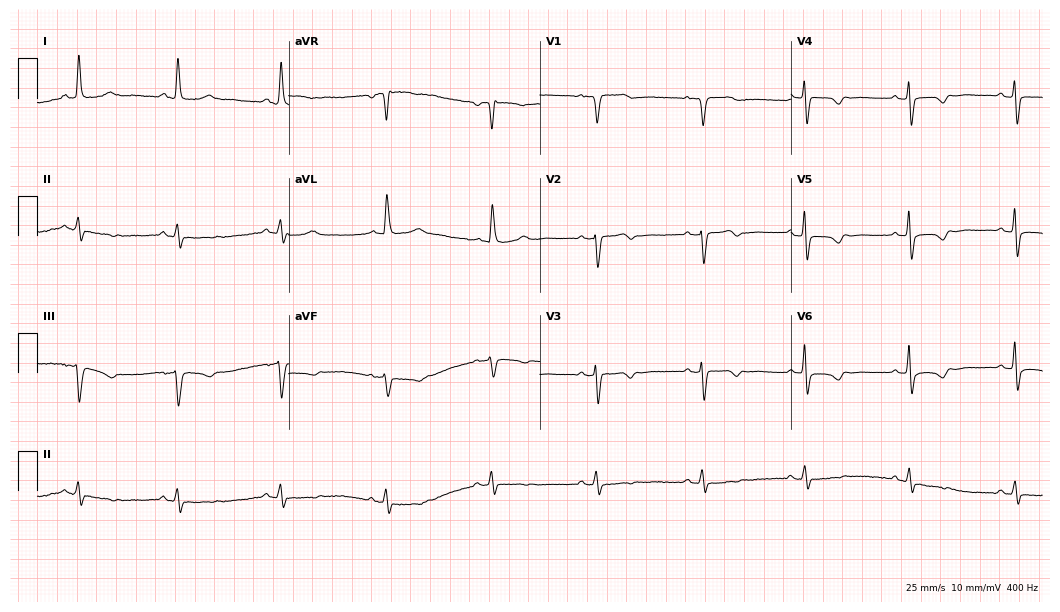
12-lead ECG (10.2-second recording at 400 Hz) from a 69-year-old woman. Screened for six findings — first-degree AV block, right bundle branch block, left bundle branch block, sinus bradycardia, atrial fibrillation, sinus tachycardia — none is recorded. Only these six findings were labelled.